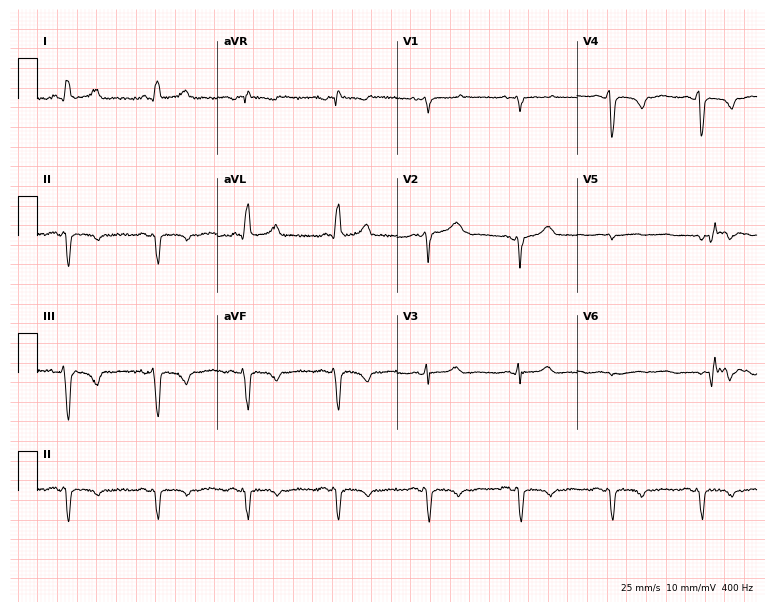
12-lead ECG from a 59-year-old woman. Screened for six findings — first-degree AV block, right bundle branch block, left bundle branch block, sinus bradycardia, atrial fibrillation, sinus tachycardia — none is recorded.